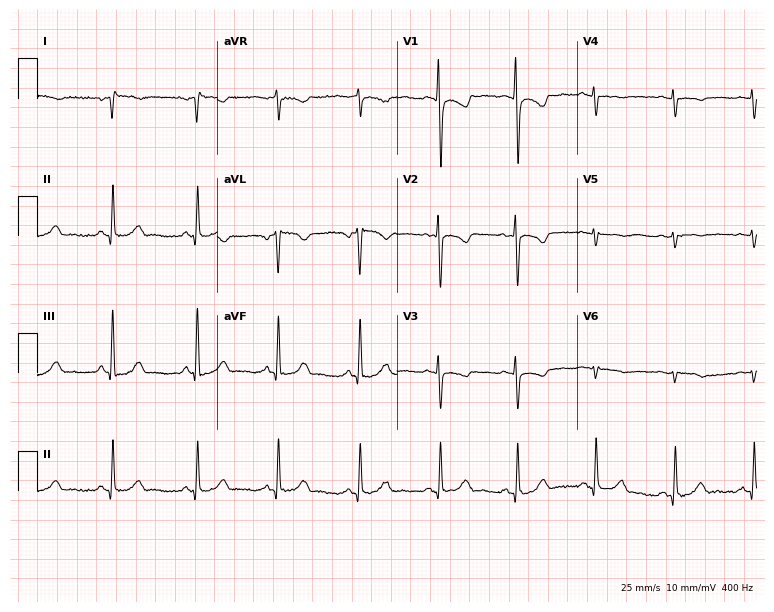
Standard 12-lead ECG recorded from a female, 37 years old (7.3-second recording at 400 Hz). None of these six findings is recorded: first-degree AV block, right bundle branch block, left bundle branch block, sinus bradycardia, atrial fibrillation, sinus tachycardia. Findings outside these six are not listed.